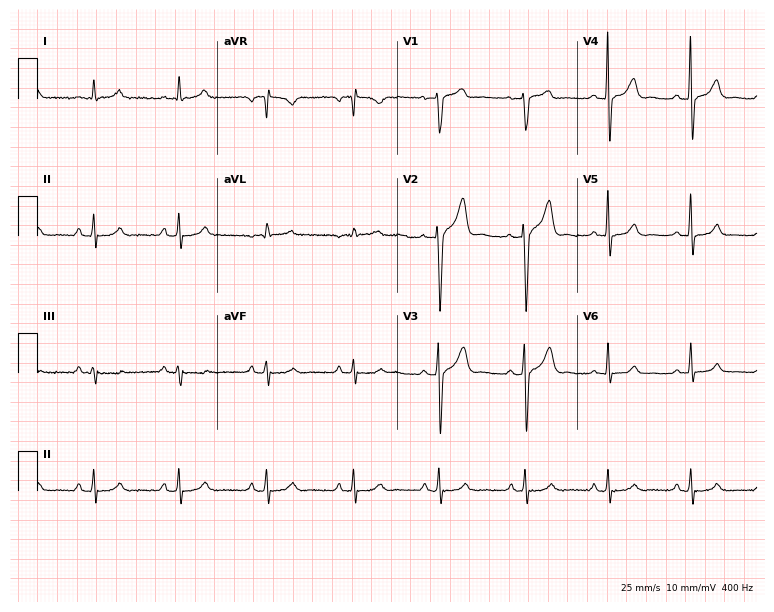
12-lead ECG from a 58-year-old male. Labelled as a normal ECG.